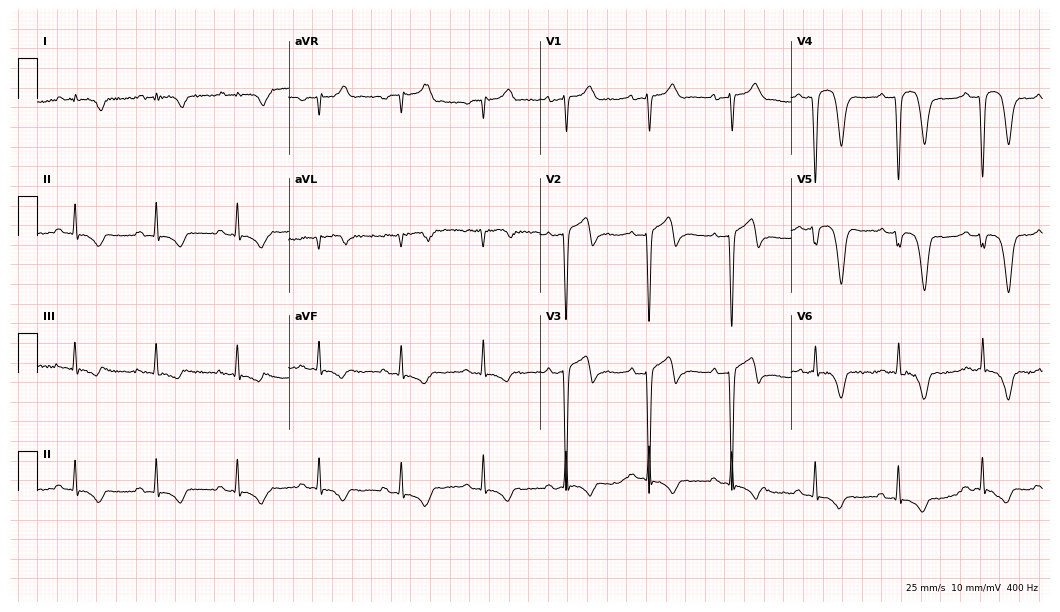
Electrocardiogram, a 63-year-old man. Of the six screened findings (first-degree AV block, right bundle branch block, left bundle branch block, sinus bradycardia, atrial fibrillation, sinus tachycardia), none is recorded.